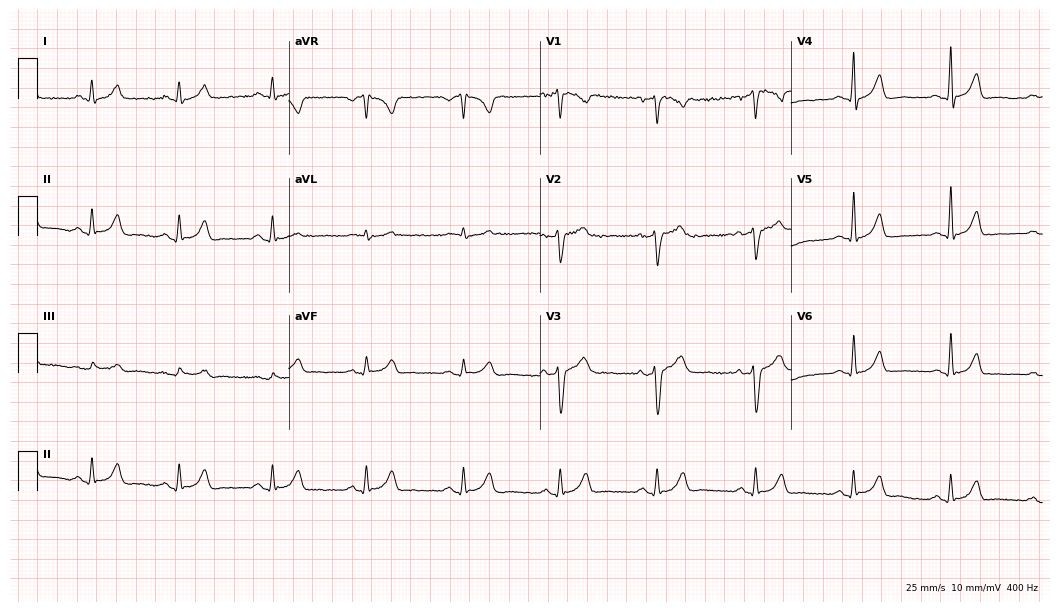
12-lead ECG from a male patient, 35 years old. Recorded interpretation: within normal limits.